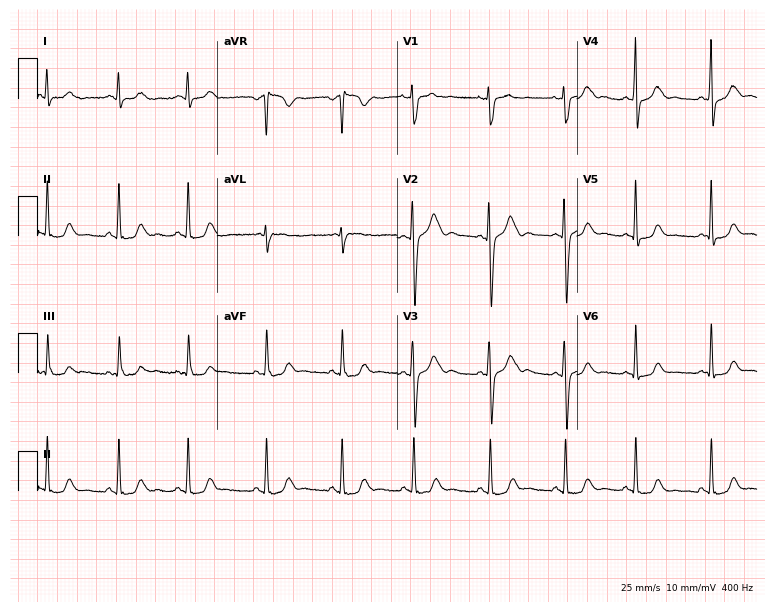
12-lead ECG from a female, 25 years old (7.3-second recording at 400 Hz). No first-degree AV block, right bundle branch block, left bundle branch block, sinus bradycardia, atrial fibrillation or sinus tachycardia recorded for this tracing.